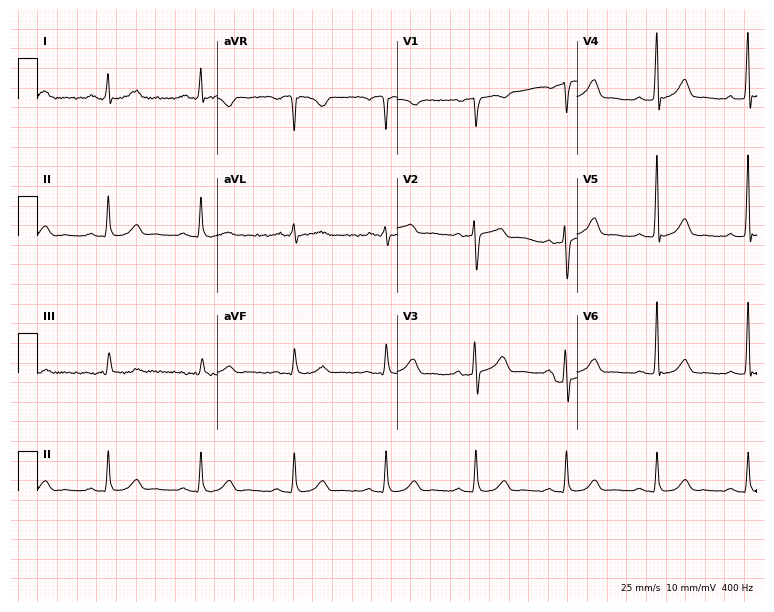
ECG (7.3-second recording at 400 Hz) — a 60-year-old man. Screened for six findings — first-degree AV block, right bundle branch block, left bundle branch block, sinus bradycardia, atrial fibrillation, sinus tachycardia — none is recorded.